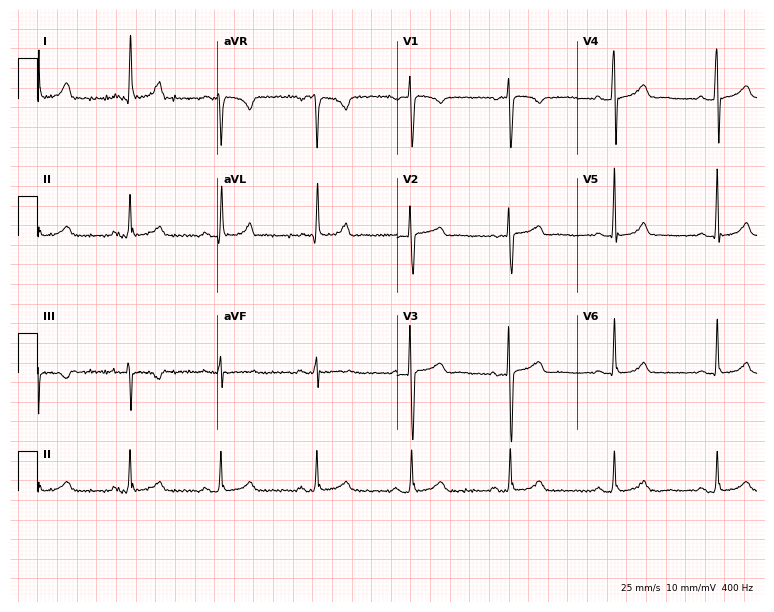
12-lead ECG (7.3-second recording at 400 Hz) from a 53-year-old female. Labelled as a normal ECG.